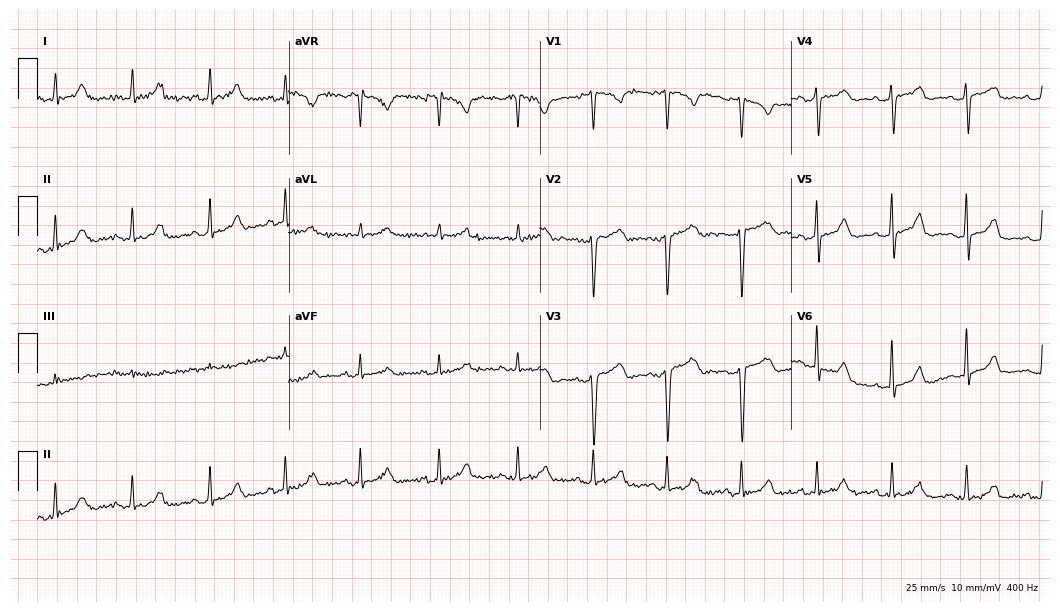
Standard 12-lead ECG recorded from a woman, 38 years old (10.2-second recording at 400 Hz). None of these six findings is recorded: first-degree AV block, right bundle branch block (RBBB), left bundle branch block (LBBB), sinus bradycardia, atrial fibrillation (AF), sinus tachycardia.